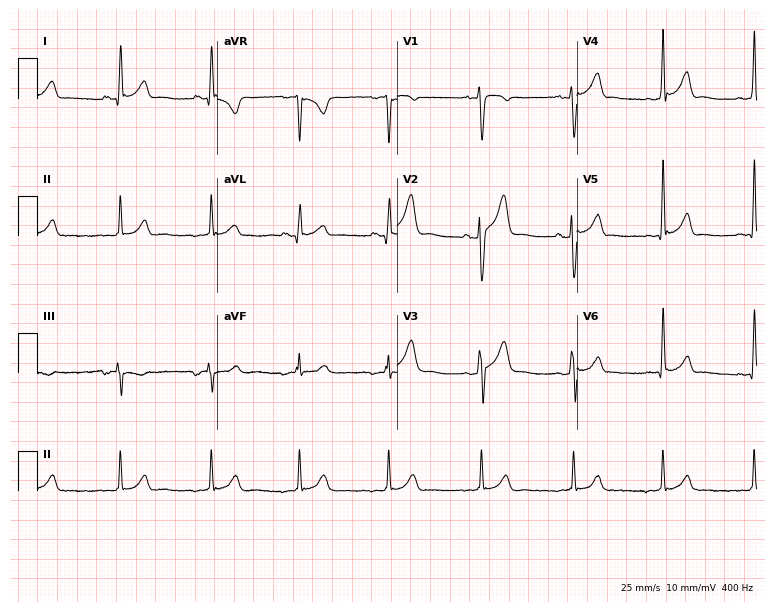
12-lead ECG from a male patient, 27 years old (7.3-second recording at 400 Hz). Recorded interpretation: within normal limits.